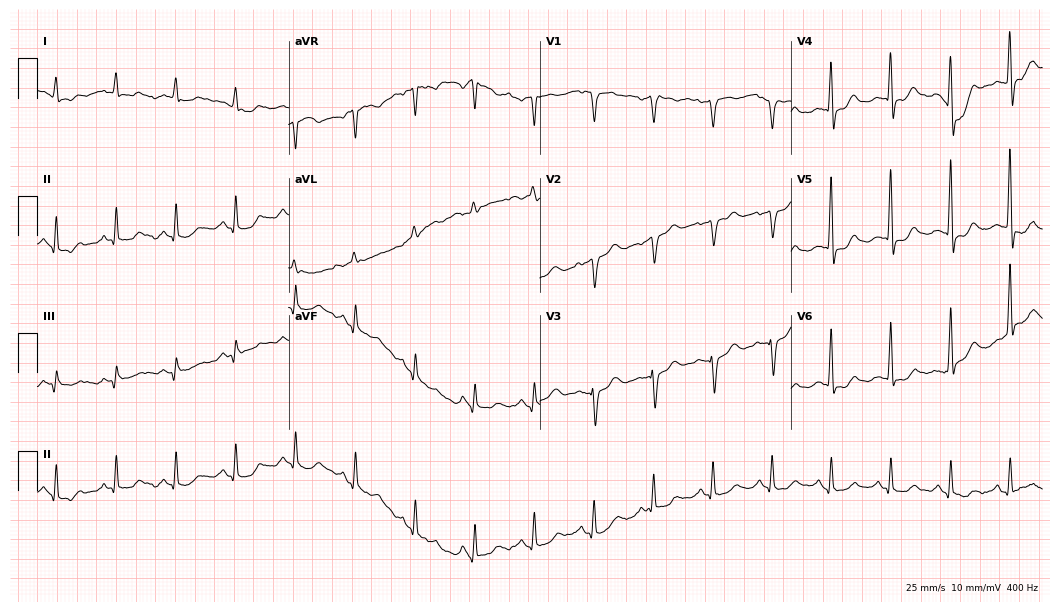
ECG — a woman, 59 years old. Screened for six findings — first-degree AV block, right bundle branch block (RBBB), left bundle branch block (LBBB), sinus bradycardia, atrial fibrillation (AF), sinus tachycardia — none is recorded. Only these six findings were labelled.